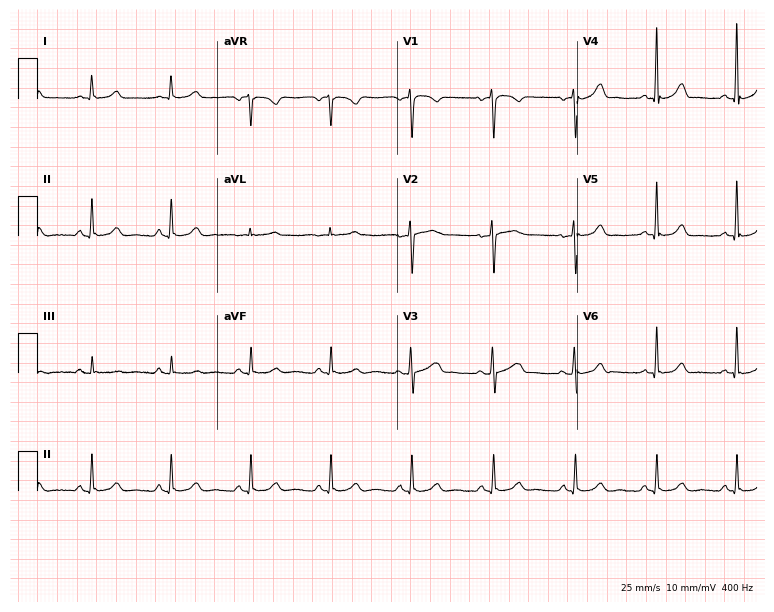
Standard 12-lead ECG recorded from a 45-year-old woman (7.3-second recording at 400 Hz). Read as a normal ECG.